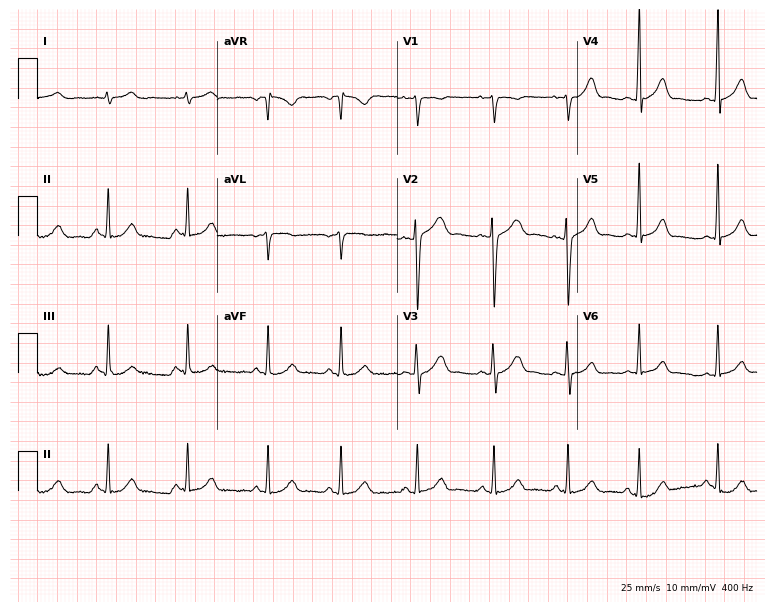
12-lead ECG from a 17-year-old female. Labelled as a normal ECG.